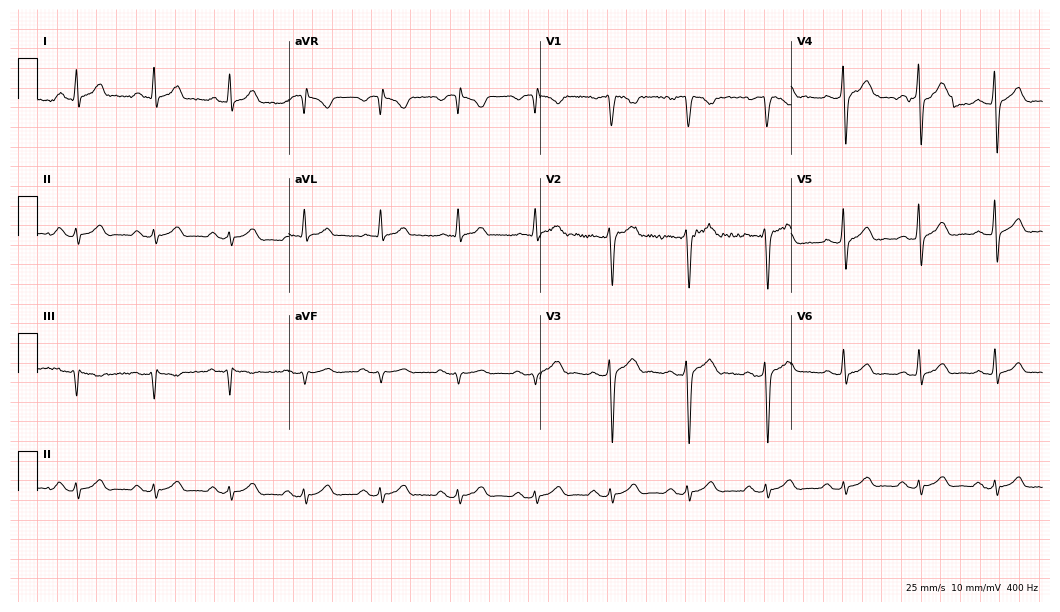
ECG — a 50-year-old male patient. Screened for six findings — first-degree AV block, right bundle branch block (RBBB), left bundle branch block (LBBB), sinus bradycardia, atrial fibrillation (AF), sinus tachycardia — none is recorded.